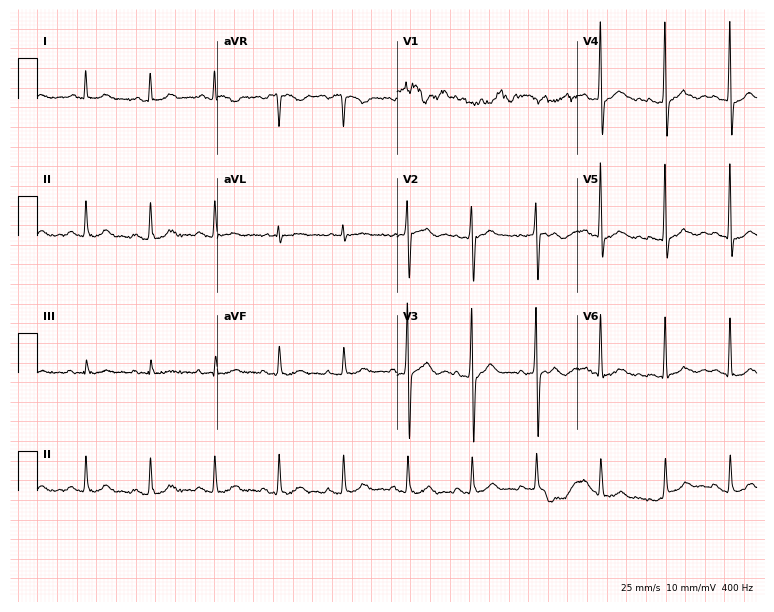
12-lead ECG from a male patient, 71 years old. Labelled as a normal ECG.